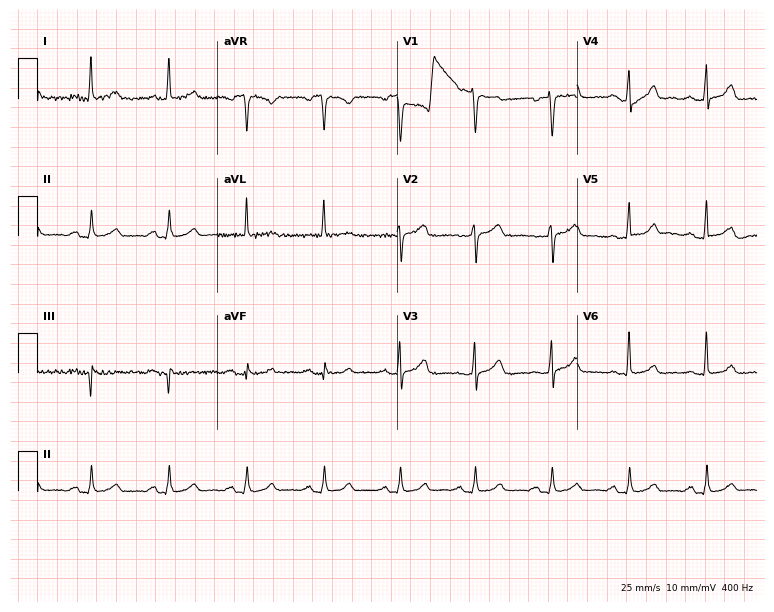
12-lead ECG (7.3-second recording at 400 Hz) from a 59-year-old female. Screened for six findings — first-degree AV block, right bundle branch block, left bundle branch block, sinus bradycardia, atrial fibrillation, sinus tachycardia — none is recorded.